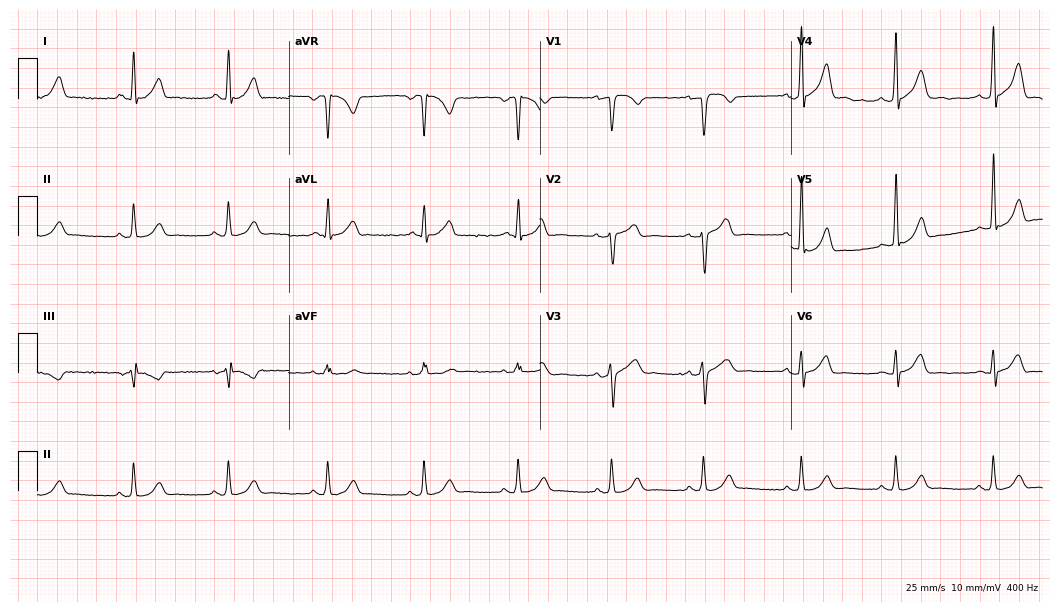
ECG (10.2-second recording at 400 Hz) — a 31-year-old male patient. Labelled as a normal ECG.